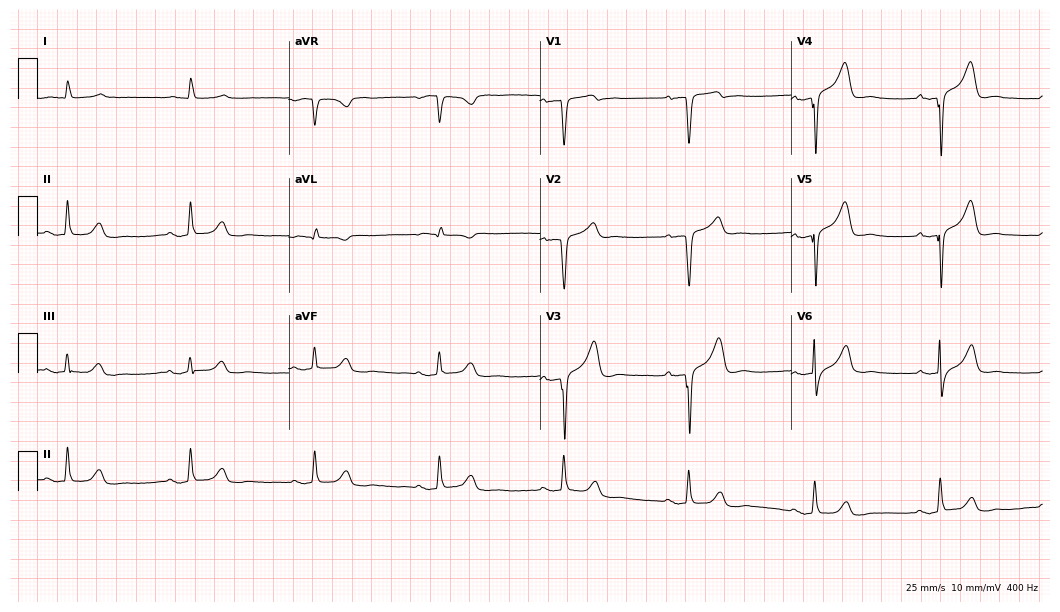
Standard 12-lead ECG recorded from a male patient, 74 years old (10.2-second recording at 400 Hz). The tracing shows sinus bradycardia (a sinus rate of 50 beats per minute or less).